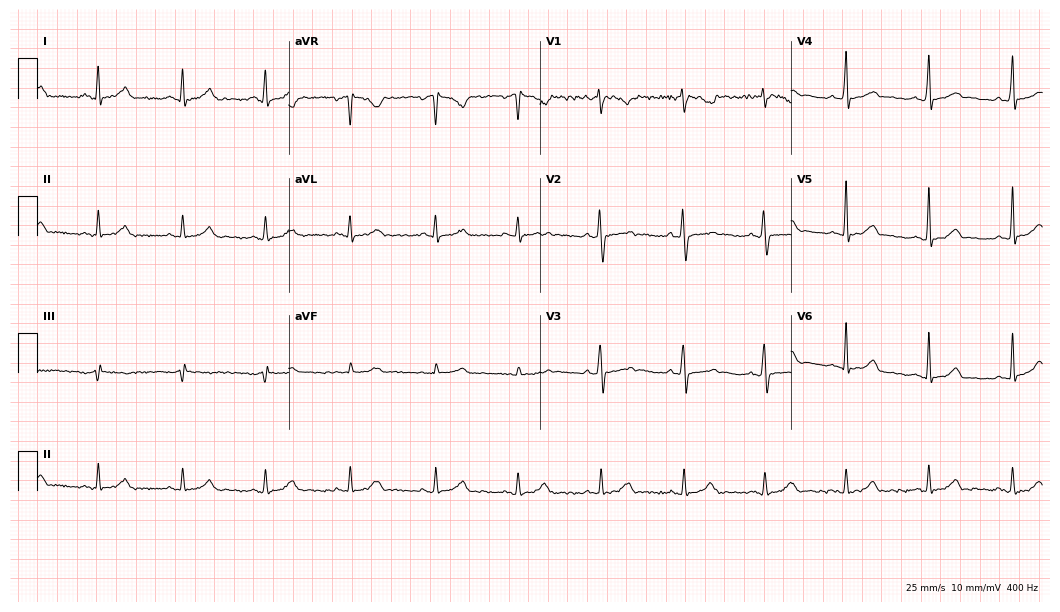
12-lead ECG from a 17-year-old female. Recorded interpretation: within normal limits.